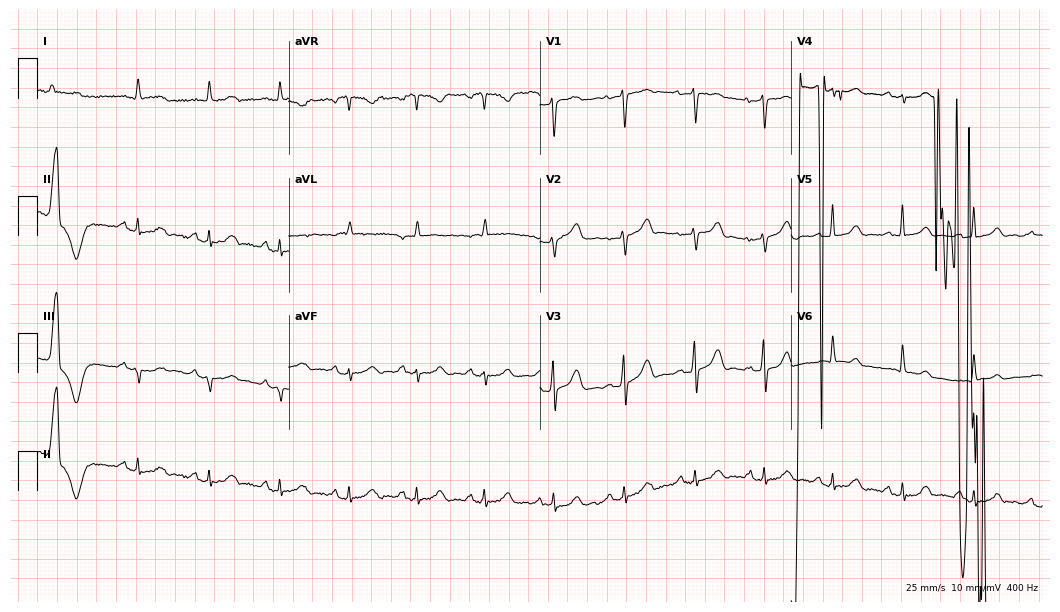
12-lead ECG from a 77-year-old woman (10.2-second recording at 400 Hz). No first-degree AV block, right bundle branch block (RBBB), left bundle branch block (LBBB), sinus bradycardia, atrial fibrillation (AF) or sinus tachycardia recorded for this tracing. Only these six findings were labelled.